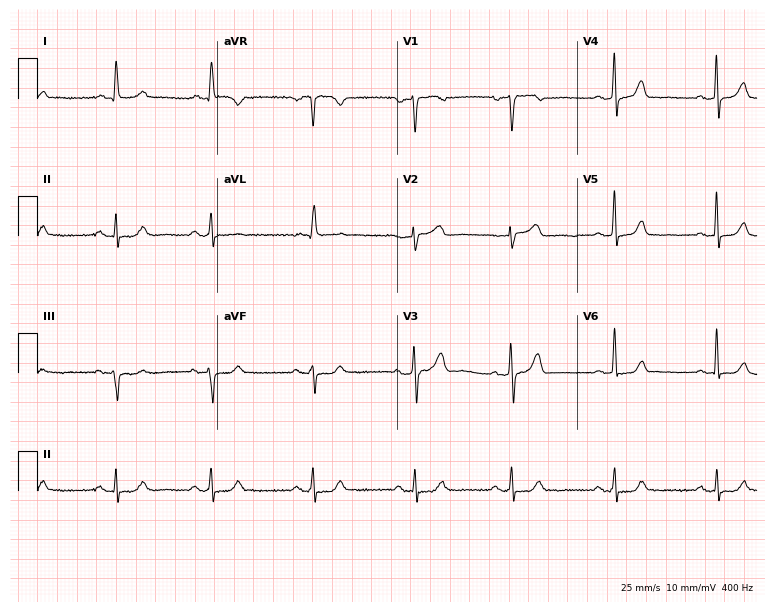
Resting 12-lead electrocardiogram (7.3-second recording at 400 Hz). Patient: a female, 69 years old. None of these six findings is recorded: first-degree AV block, right bundle branch block (RBBB), left bundle branch block (LBBB), sinus bradycardia, atrial fibrillation (AF), sinus tachycardia.